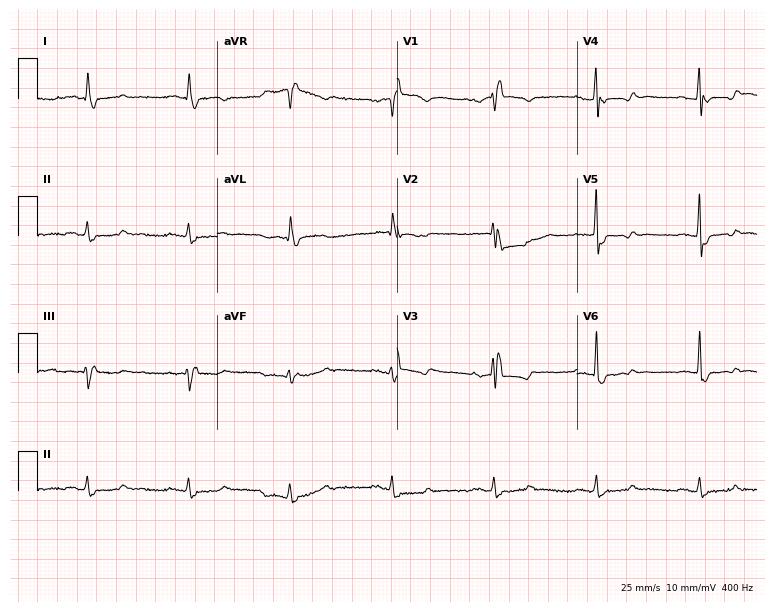
Resting 12-lead electrocardiogram. Patient: a 74-year-old female. The tracing shows right bundle branch block.